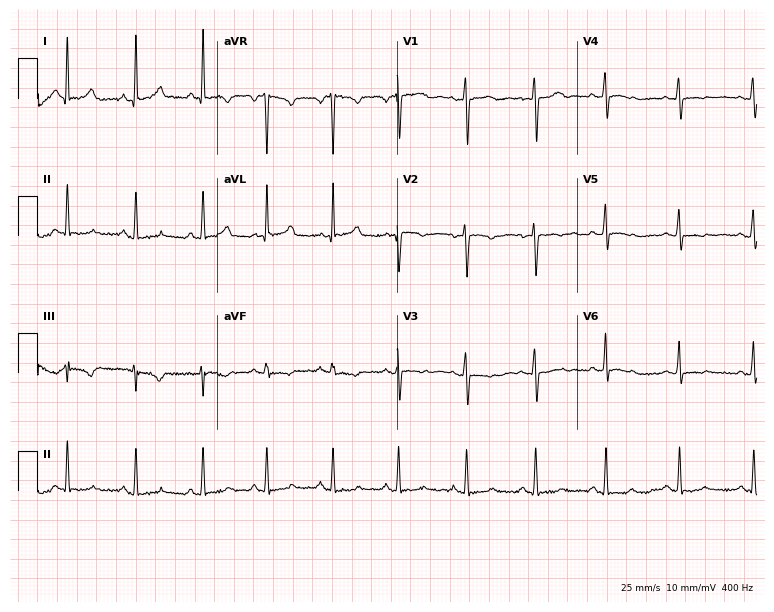
Standard 12-lead ECG recorded from a woman, 36 years old. None of these six findings is recorded: first-degree AV block, right bundle branch block (RBBB), left bundle branch block (LBBB), sinus bradycardia, atrial fibrillation (AF), sinus tachycardia. Only these six findings were labelled.